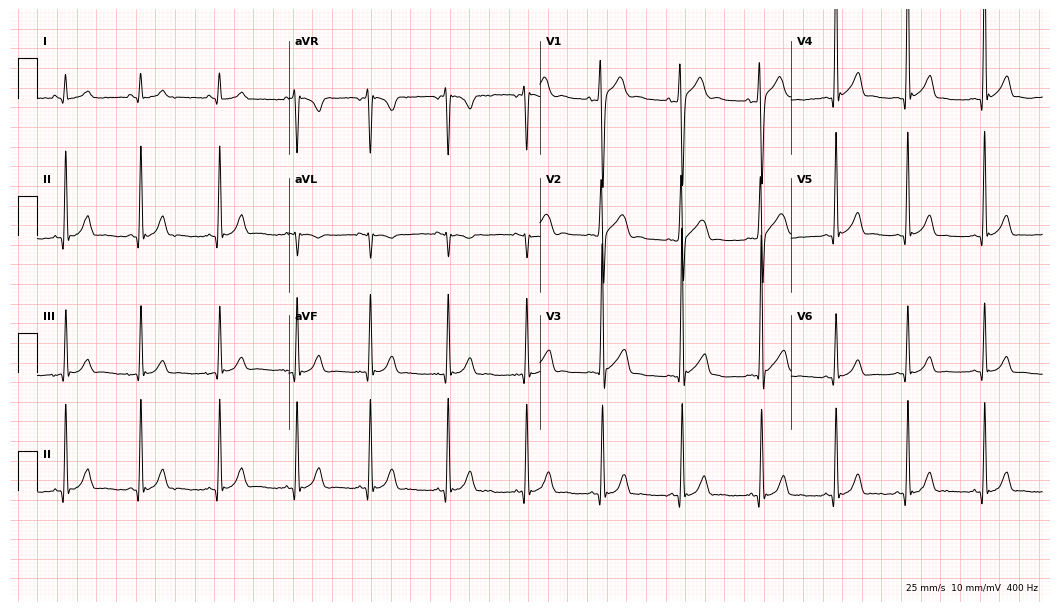
12-lead ECG from a 20-year-old male patient. No first-degree AV block, right bundle branch block, left bundle branch block, sinus bradycardia, atrial fibrillation or sinus tachycardia recorded for this tracing. Only these six findings were labelled.